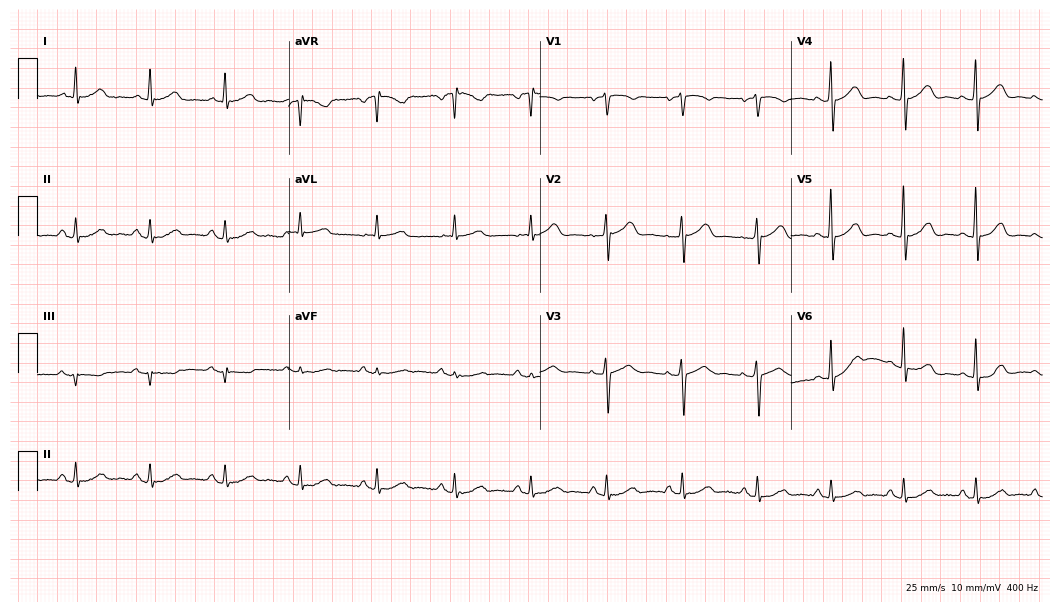
12-lead ECG from a 67-year-old female. Labelled as a normal ECG.